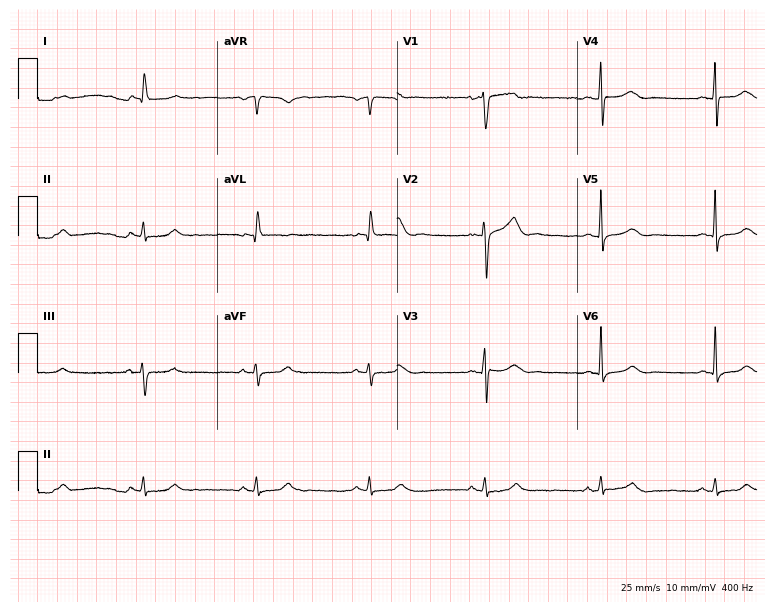
Standard 12-lead ECG recorded from a female patient, 61 years old. None of these six findings is recorded: first-degree AV block, right bundle branch block (RBBB), left bundle branch block (LBBB), sinus bradycardia, atrial fibrillation (AF), sinus tachycardia. Other findings, if any, are not listed.